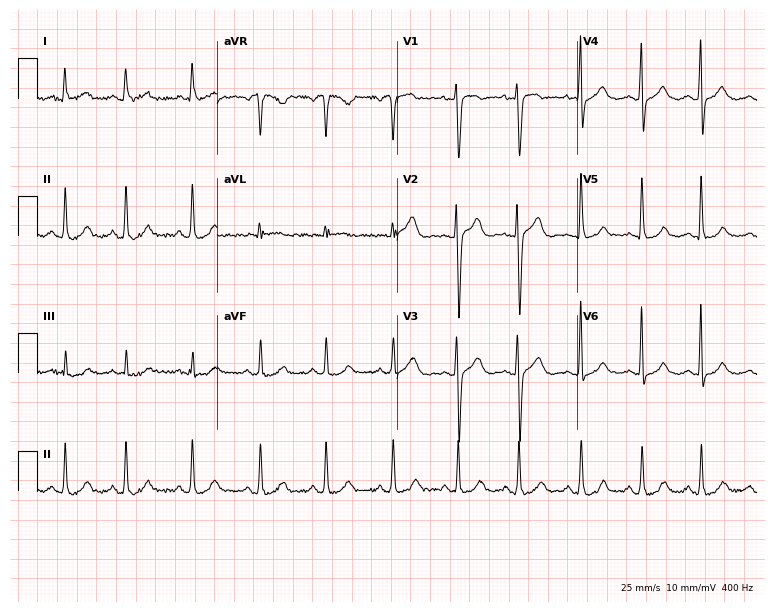
ECG (7.3-second recording at 400 Hz) — a female patient, 36 years old. Screened for six findings — first-degree AV block, right bundle branch block (RBBB), left bundle branch block (LBBB), sinus bradycardia, atrial fibrillation (AF), sinus tachycardia — none is recorded.